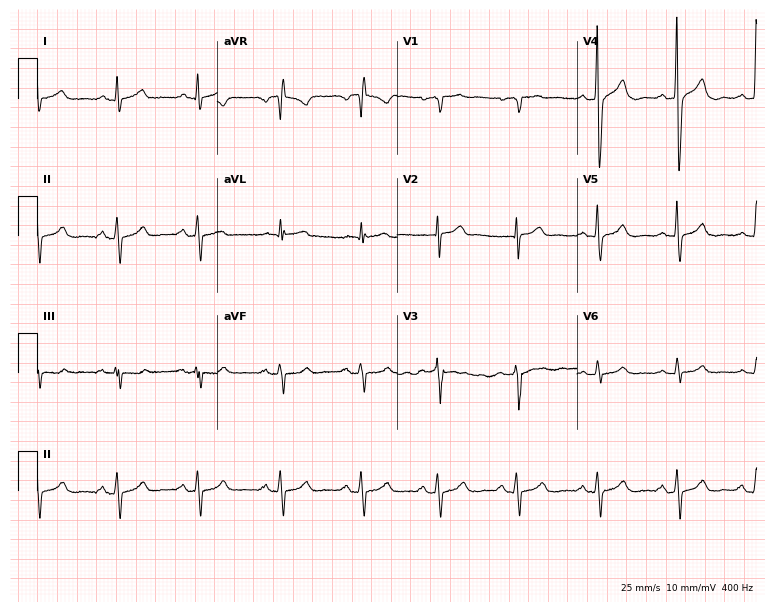
Electrocardiogram, a 41-year-old male patient. Of the six screened findings (first-degree AV block, right bundle branch block (RBBB), left bundle branch block (LBBB), sinus bradycardia, atrial fibrillation (AF), sinus tachycardia), none is recorded.